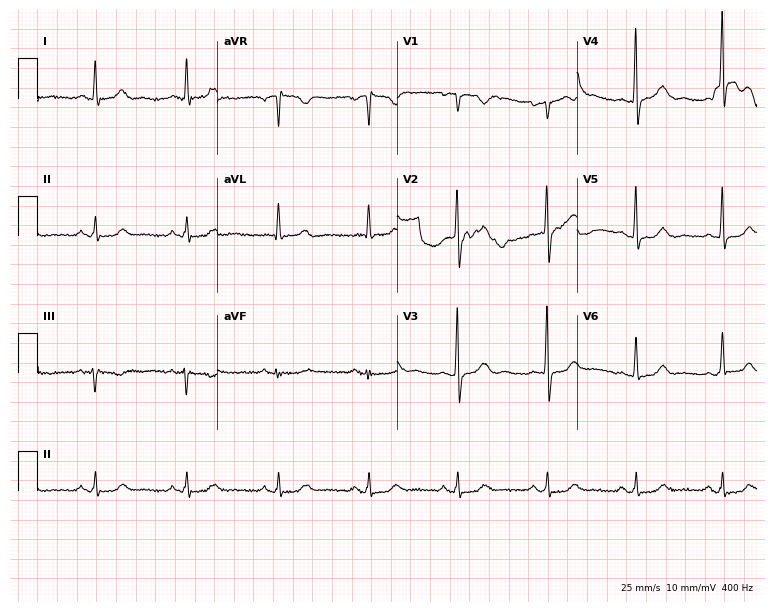
ECG (7.3-second recording at 400 Hz) — a 54-year-old female. Screened for six findings — first-degree AV block, right bundle branch block, left bundle branch block, sinus bradycardia, atrial fibrillation, sinus tachycardia — none is recorded. Only these six findings were labelled.